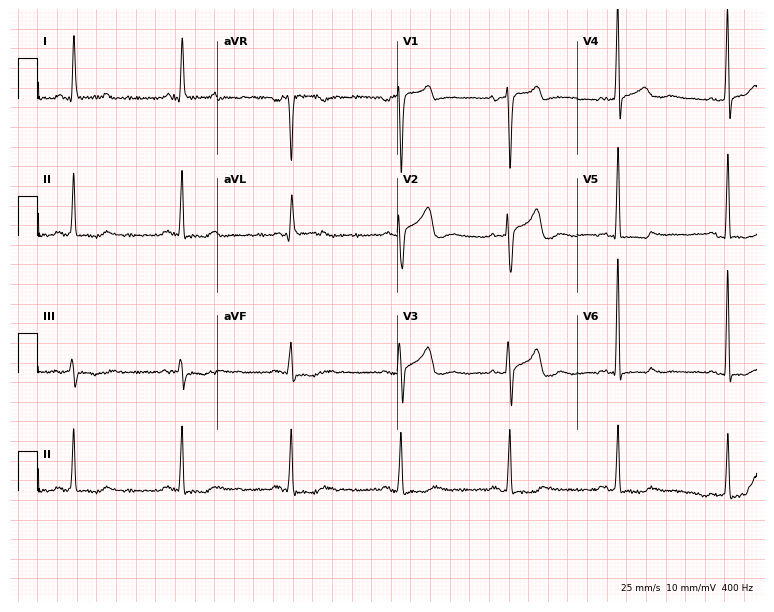
12-lead ECG from a male, 65 years old. No first-degree AV block, right bundle branch block (RBBB), left bundle branch block (LBBB), sinus bradycardia, atrial fibrillation (AF) or sinus tachycardia recorded for this tracing. Only these six findings were labelled.